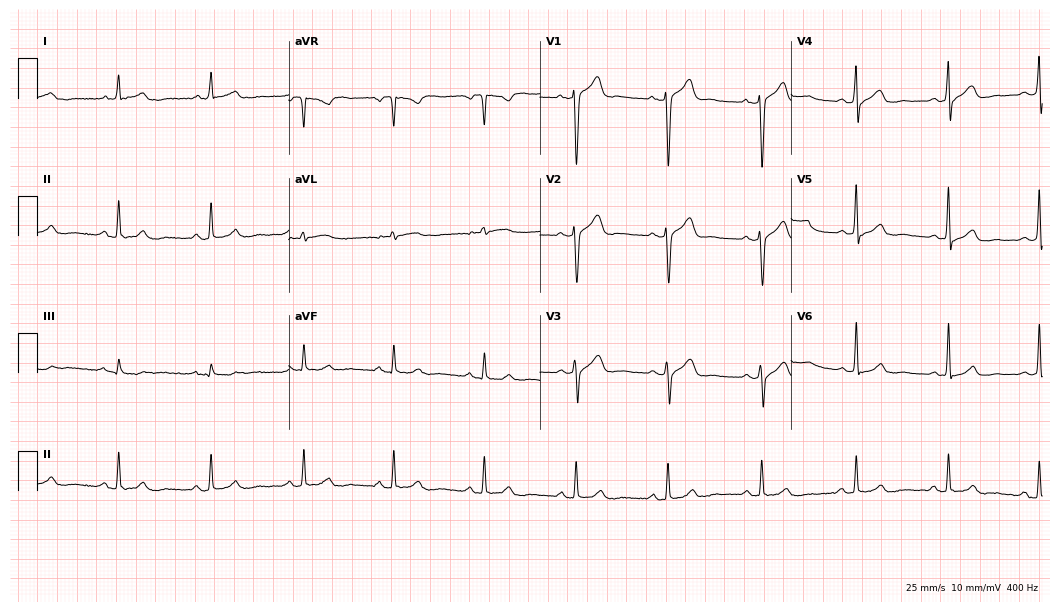
12-lead ECG from a male, 56 years old. Screened for six findings — first-degree AV block, right bundle branch block (RBBB), left bundle branch block (LBBB), sinus bradycardia, atrial fibrillation (AF), sinus tachycardia — none is recorded.